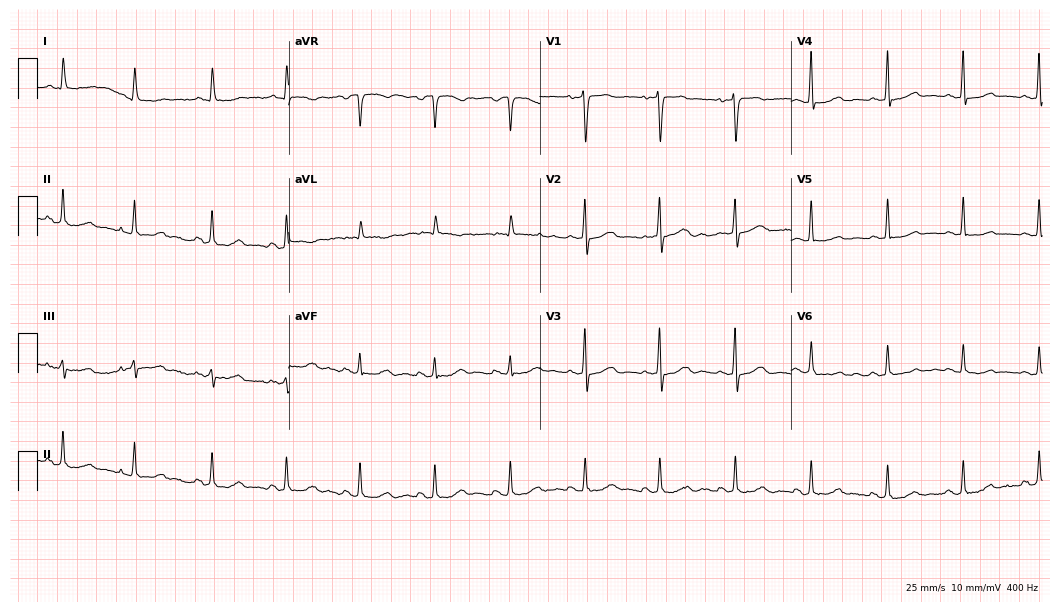
Electrocardiogram, a woman, 82 years old. Overall reading on record: normal ECG.